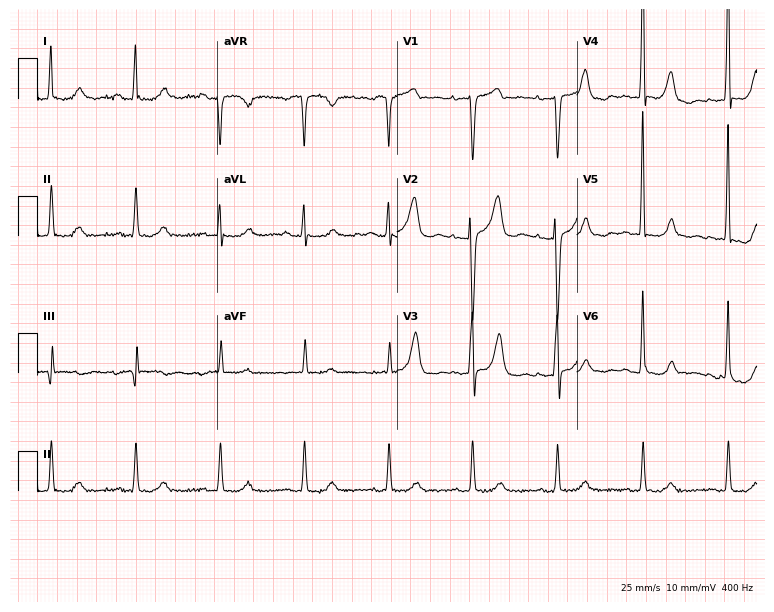
Standard 12-lead ECG recorded from an 85-year-old female patient (7.3-second recording at 400 Hz). Read as a normal ECG.